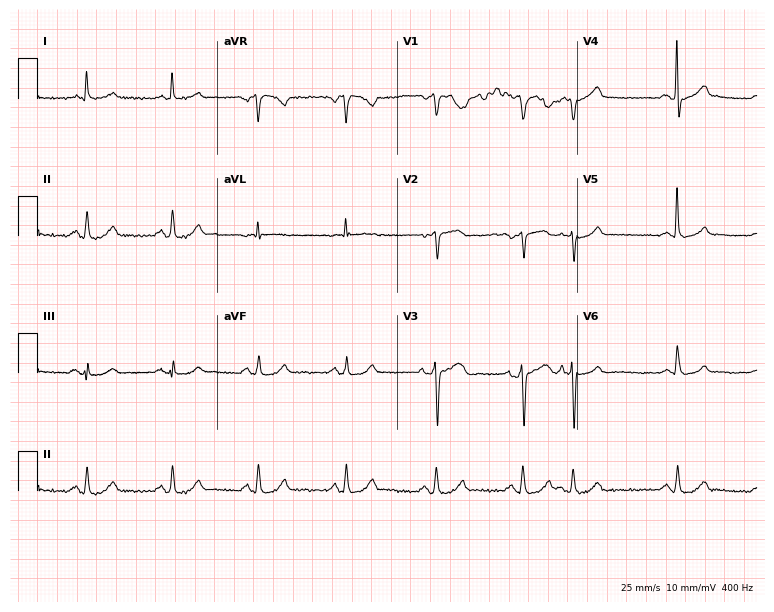
12-lead ECG (7.3-second recording at 400 Hz) from a 70-year-old man. Screened for six findings — first-degree AV block, right bundle branch block, left bundle branch block, sinus bradycardia, atrial fibrillation, sinus tachycardia — none is recorded.